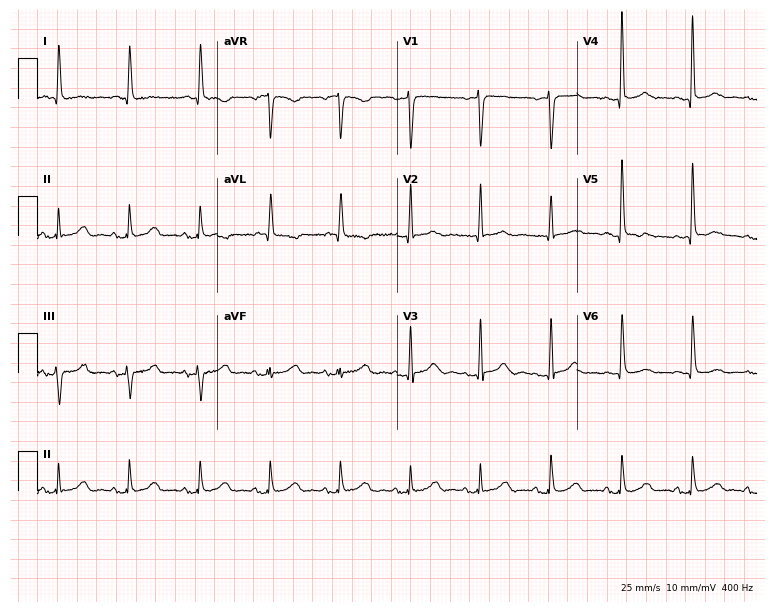
Resting 12-lead electrocardiogram (7.3-second recording at 400 Hz). Patient: a 78-year-old woman. Read as a normal ECG.